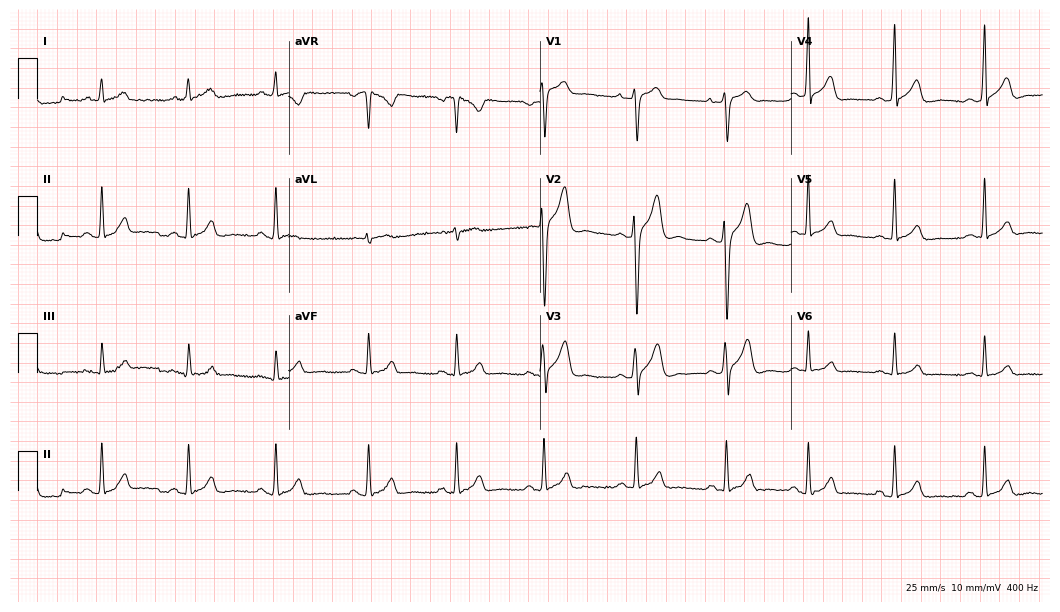
12-lead ECG (10.2-second recording at 400 Hz) from a male, 28 years old. Screened for six findings — first-degree AV block, right bundle branch block, left bundle branch block, sinus bradycardia, atrial fibrillation, sinus tachycardia — none is recorded.